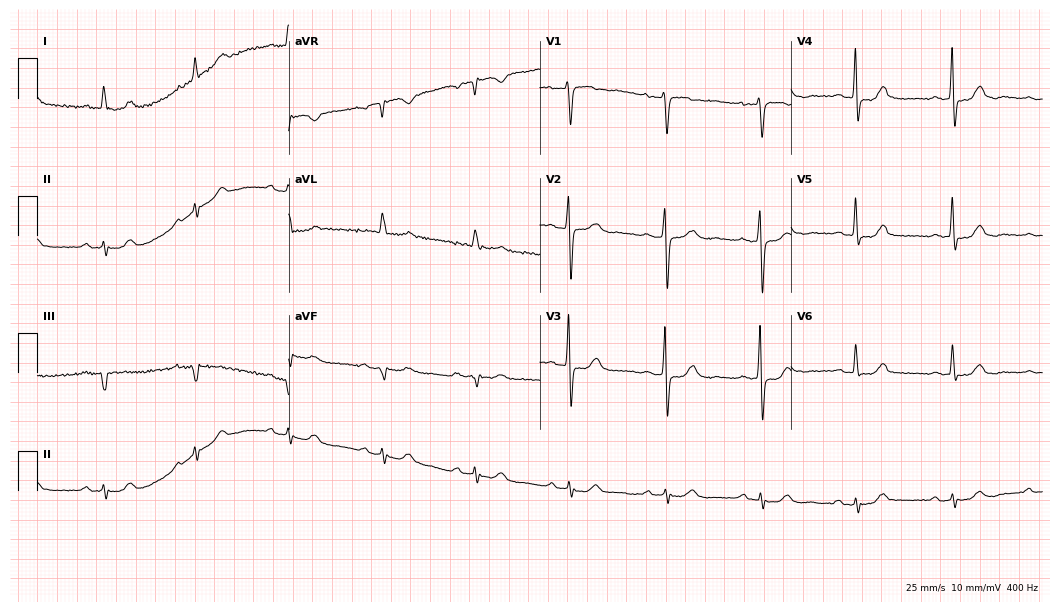
Resting 12-lead electrocardiogram (10.2-second recording at 400 Hz). Patient: a 72-year-old woman. The tracing shows first-degree AV block.